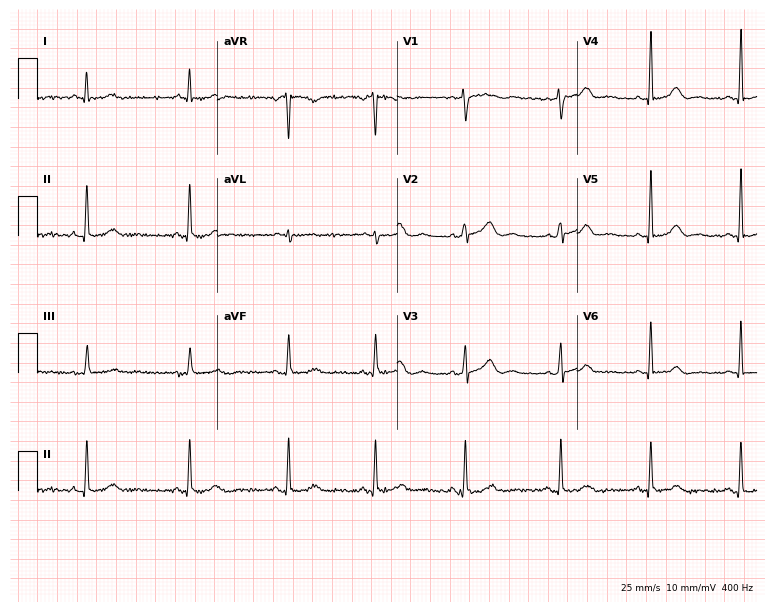
ECG (7.3-second recording at 400 Hz) — a female, 39 years old. Screened for six findings — first-degree AV block, right bundle branch block (RBBB), left bundle branch block (LBBB), sinus bradycardia, atrial fibrillation (AF), sinus tachycardia — none is recorded. Findings outside these six are not listed.